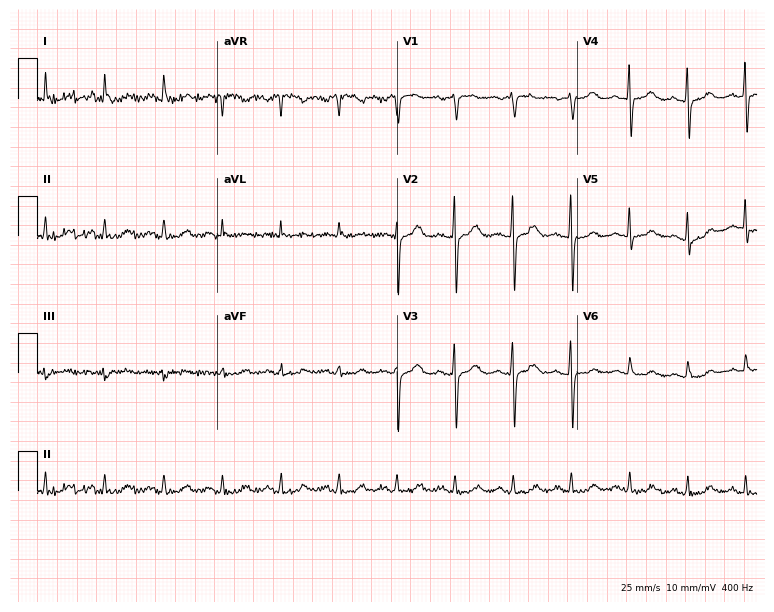
Electrocardiogram (7.3-second recording at 400 Hz), a 61-year-old female. Interpretation includes sinus tachycardia (a sinus rate of 100 beats per minute or more).